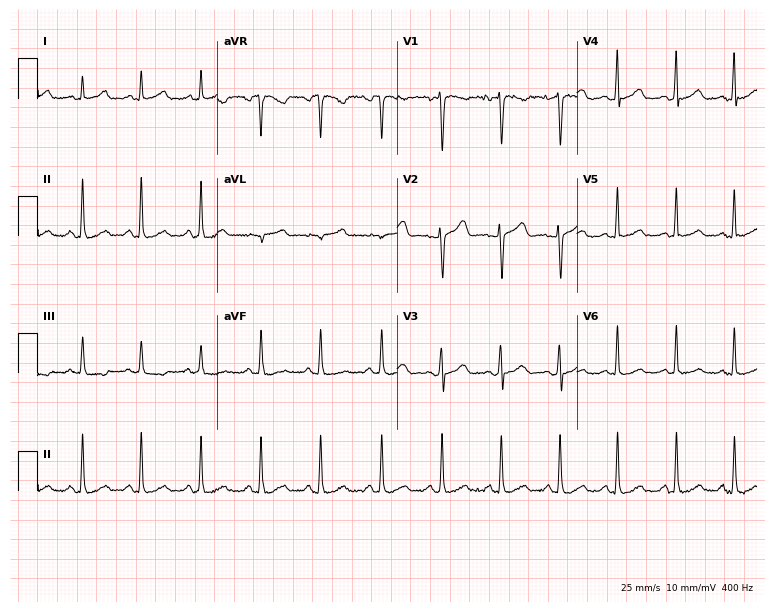
Electrocardiogram (7.3-second recording at 400 Hz), a 45-year-old female patient. Of the six screened findings (first-degree AV block, right bundle branch block, left bundle branch block, sinus bradycardia, atrial fibrillation, sinus tachycardia), none is recorded.